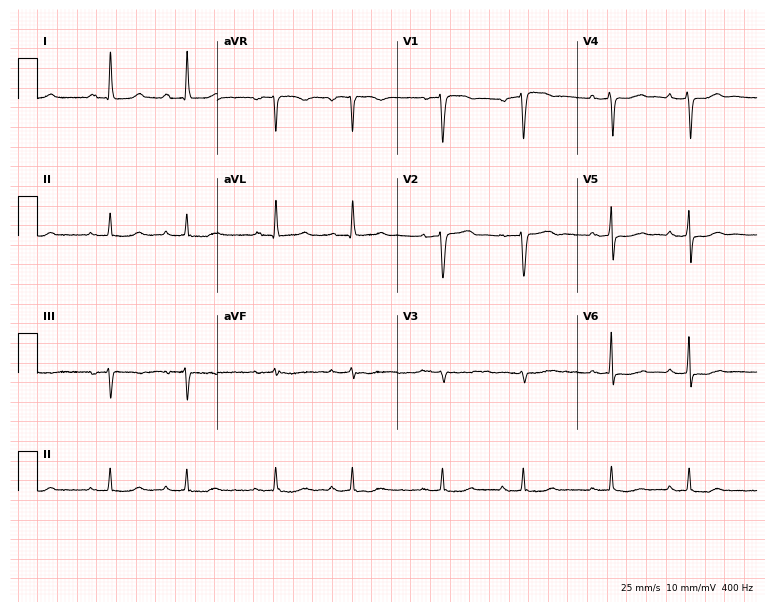
ECG — a woman, 51 years old. Screened for six findings — first-degree AV block, right bundle branch block, left bundle branch block, sinus bradycardia, atrial fibrillation, sinus tachycardia — none is recorded.